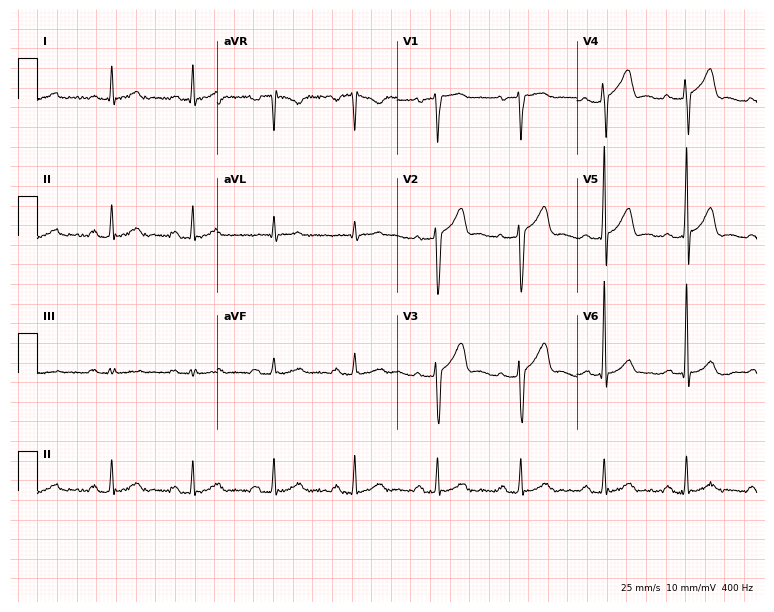
ECG (7.3-second recording at 400 Hz) — a 52-year-old male patient. Screened for six findings — first-degree AV block, right bundle branch block, left bundle branch block, sinus bradycardia, atrial fibrillation, sinus tachycardia — none is recorded. Other findings, if any, are not listed.